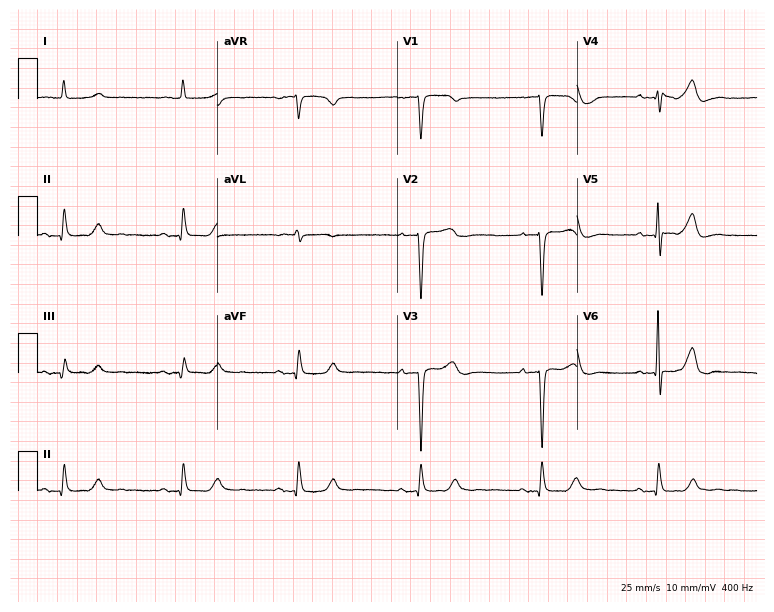
Resting 12-lead electrocardiogram. Patient: a man, 84 years old. The tracing shows sinus bradycardia (a sinus rate of 50 beats per minute or less).